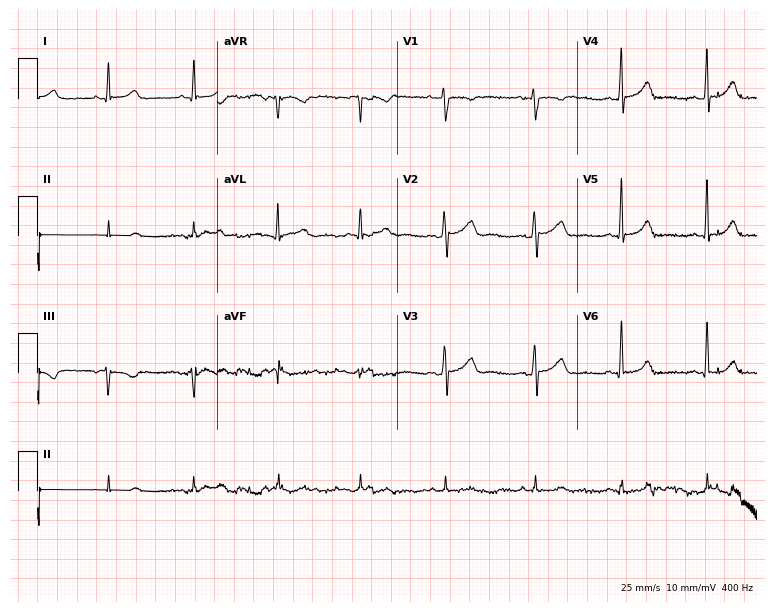
Electrocardiogram (7.3-second recording at 400 Hz), a 29-year-old female. Overall reading on record: normal ECG.